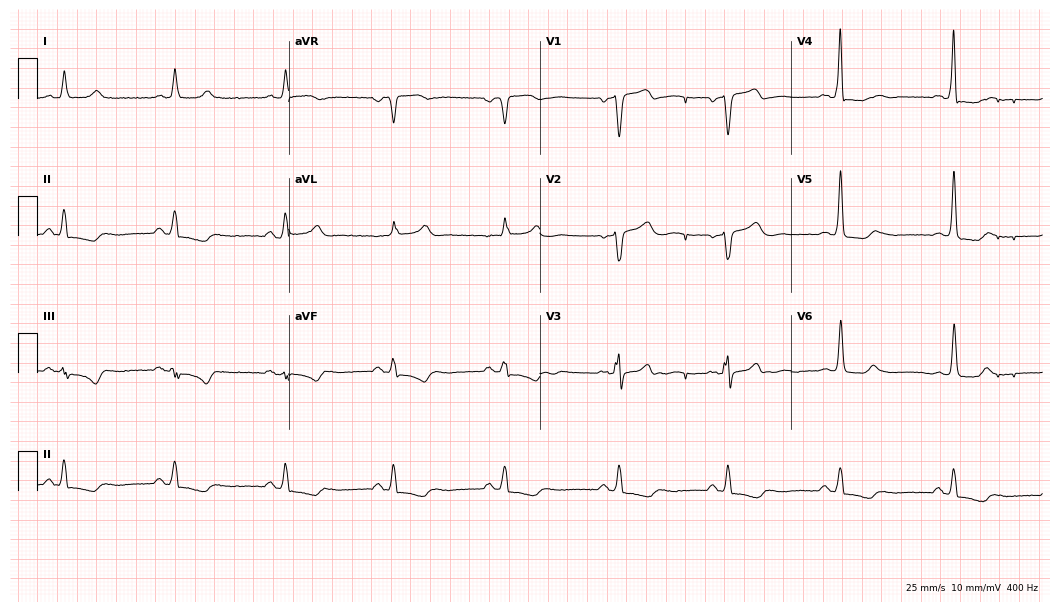
12-lead ECG from a male patient, 55 years old. Screened for six findings — first-degree AV block, right bundle branch block, left bundle branch block, sinus bradycardia, atrial fibrillation, sinus tachycardia — none is recorded. Only these six findings were labelled.